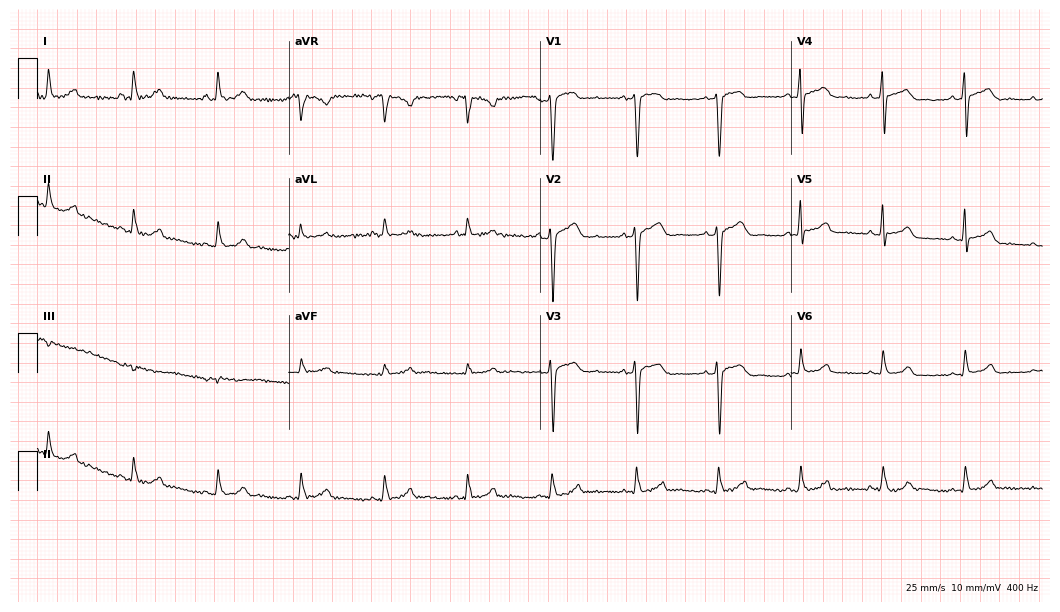
12-lead ECG (10.2-second recording at 400 Hz) from a 53-year-old male. Screened for six findings — first-degree AV block, right bundle branch block, left bundle branch block, sinus bradycardia, atrial fibrillation, sinus tachycardia — none is recorded.